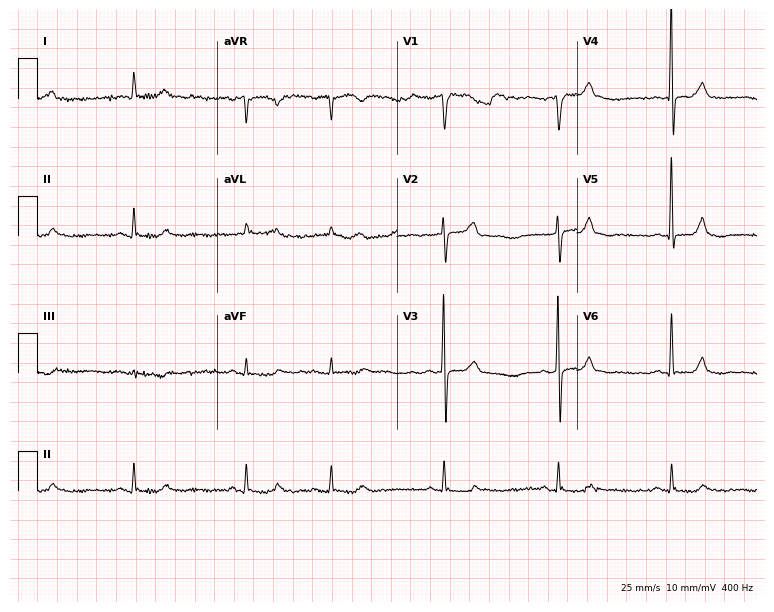
Standard 12-lead ECG recorded from a 79-year-old male (7.3-second recording at 400 Hz). None of these six findings is recorded: first-degree AV block, right bundle branch block (RBBB), left bundle branch block (LBBB), sinus bradycardia, atrial fibrillation (AF), sinus tachycardia. Findings outside these six are not listed.